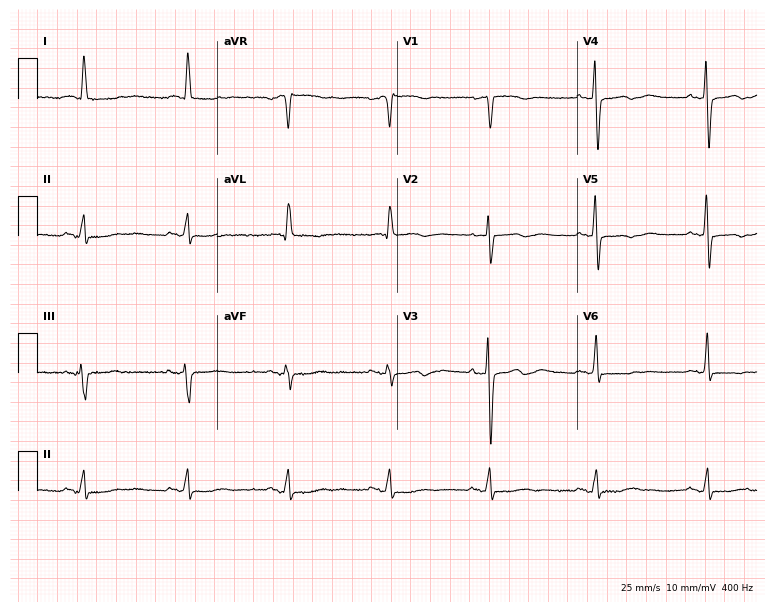
12-lead ECG (7.3-second recording at 400 Hz) from an 81-year-old female patient. Screened for six findings — first-degree AV block, right bundle branch block (RBBB), left bundle branch block (LBBB), sinus bradycardia, atrial fibrillation (AF), sinus tachycardia — none is recorded. Only these six findings were labelled.